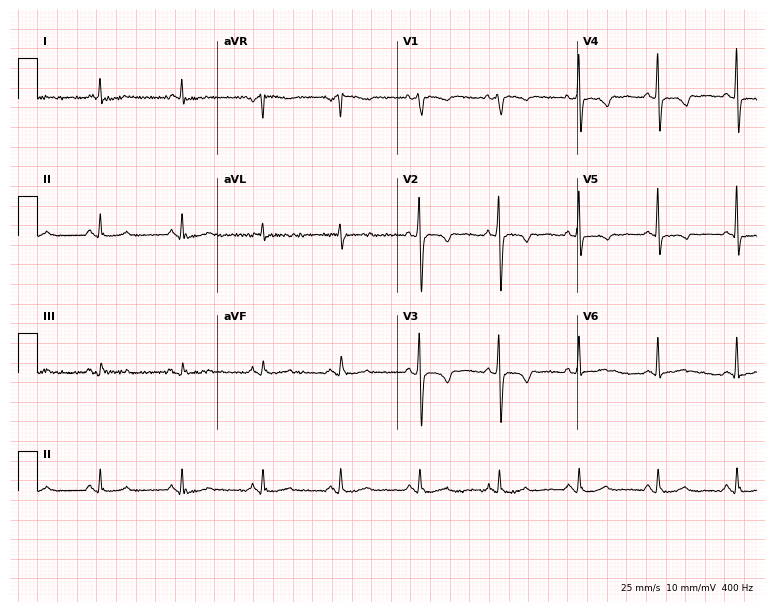
12-lead ECG from a female patient, 64 years old. Screened for six findings — first-degree AV block, right bundle branch block (RBBB), left bundle branch block (LBBB), sinus bradycardia, atrial fibrillation (AF), sinus tachycardia — none is recorded. Other findings, if any, are not listed.